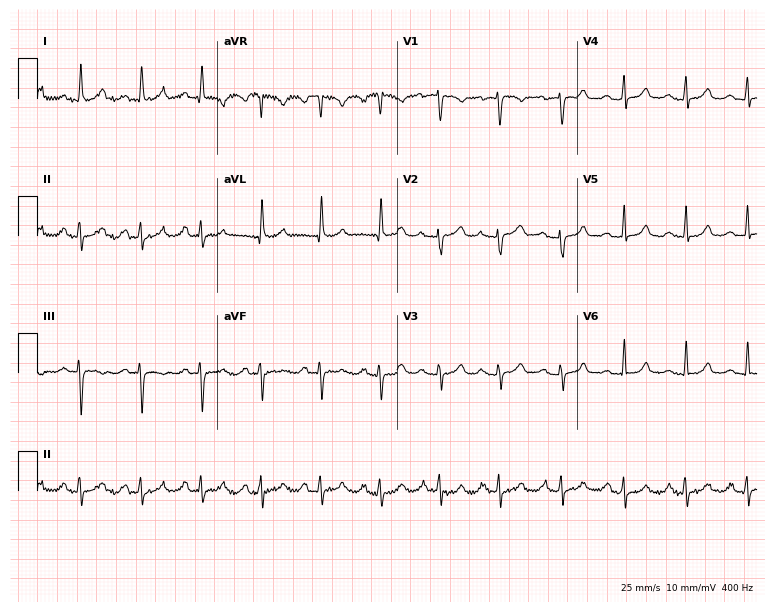
Electrocardiogram, a female patient, 40 years old. Of the six screened findings (first-degree AV block, right bundle branch block, left bundle branch block, sinus bradycardia, atrial fibrillation, sinus tachycardia), none is recorded. Findings outside these six are not listed.